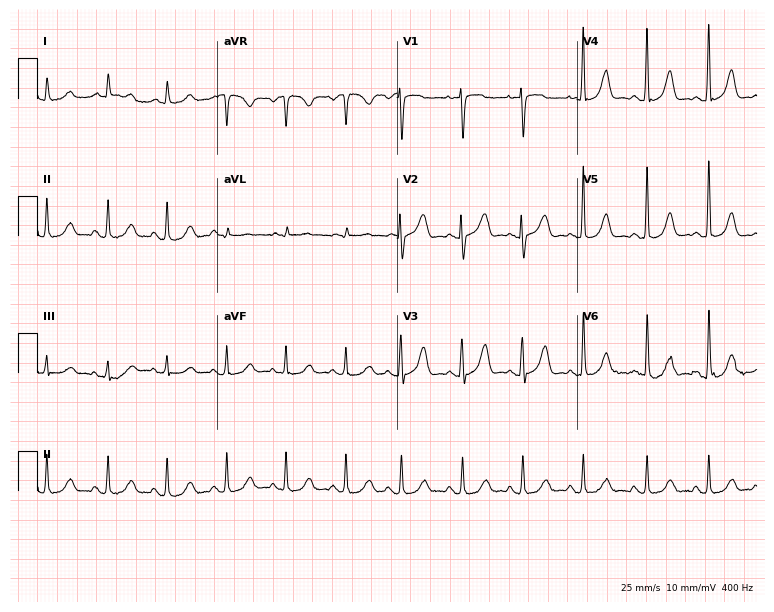
12-lead ECG from a 55-year-old female patient. Labelled as a normal ECG.